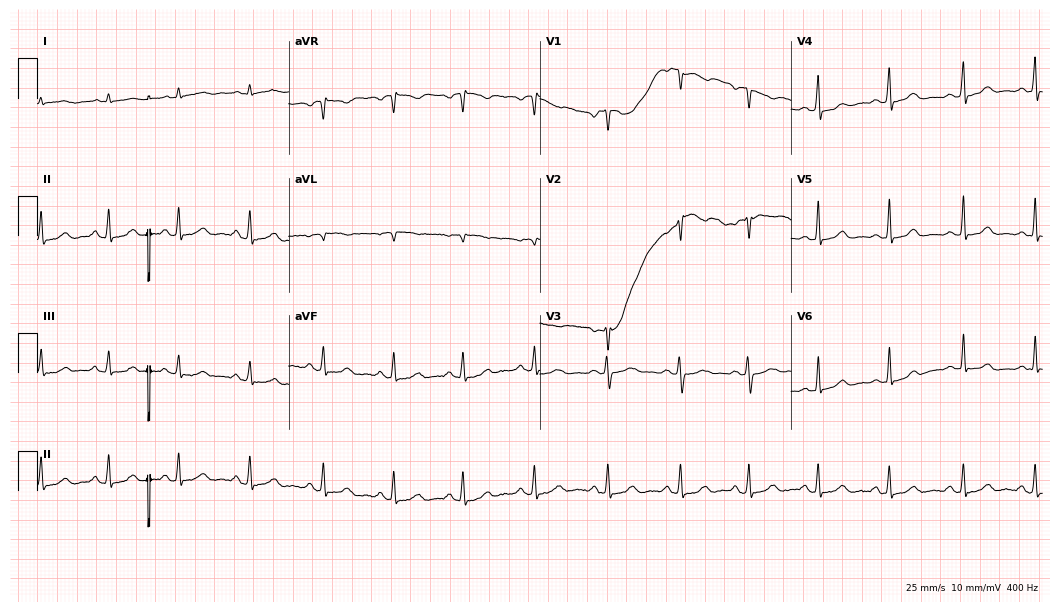
Electrocardiogram (10.2-second recording at 400 Hz), a female, 20 years old. Overall reading on record: normal ECG.